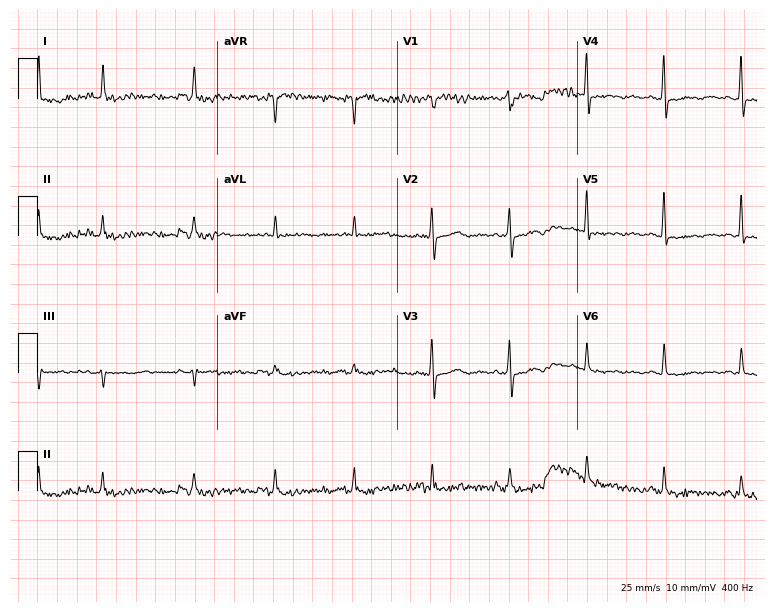
Standard 12-lead ECG recorded from a woman, 72 years old. None of these six findings is recorded: first-degree AV block, right bundle branch block, left bundle branch block, sinus bradycardia, atrial fibrillation, sinus tachycardia. Other findings, if any, are not listed.